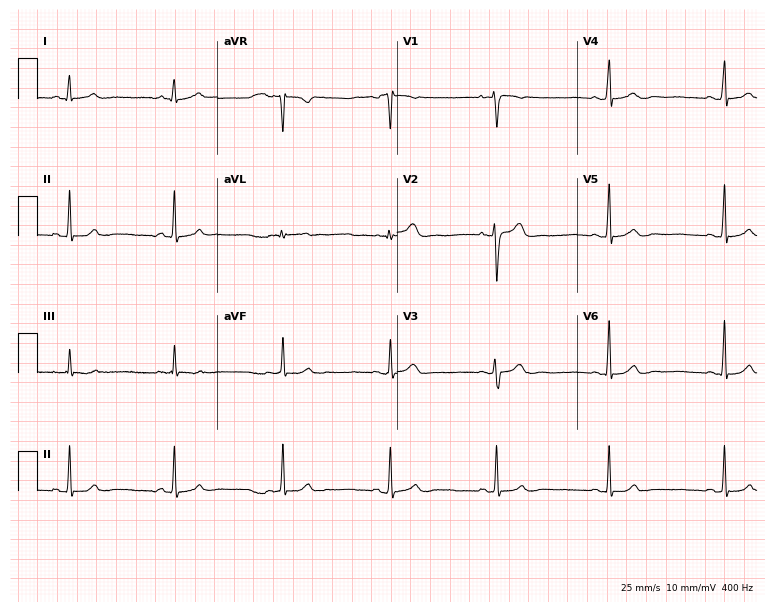
ECG — a female patient, 18 years old. Labelled as a normal ECG.